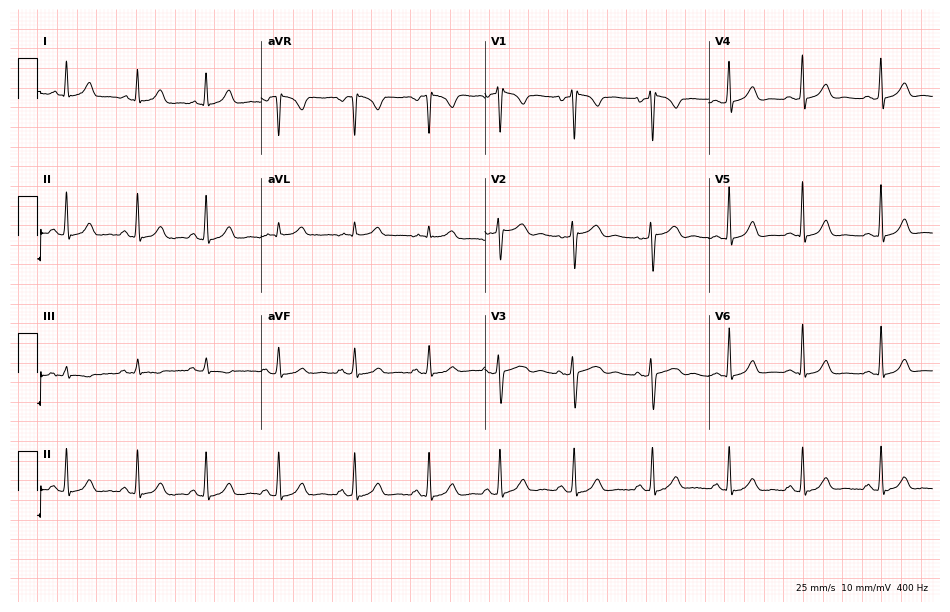
Resting 12-lead electrocardiogram. Patient: a female, 42 years old. Read as a normal ECG.